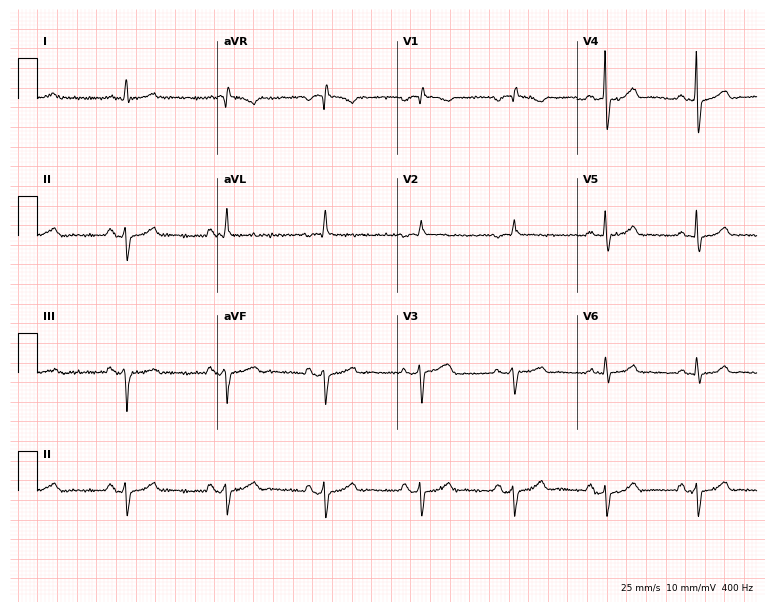
Electrocardiogram, a 69-year-old female. Overall reading on record: normal ECG.